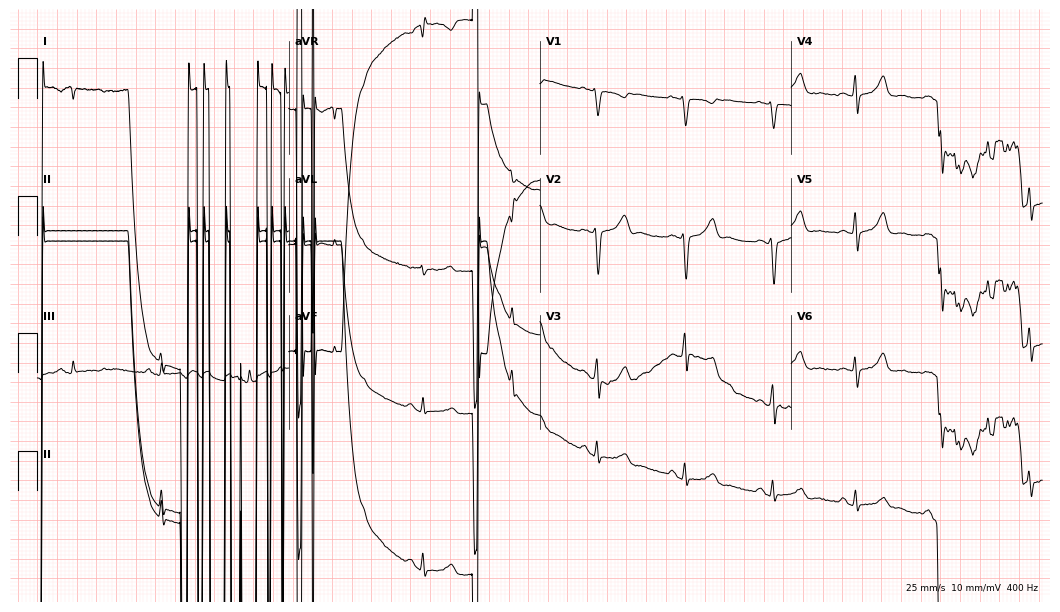
Electrocardiogram, a female patient, 30 years old. Of the six screened findings (first-degree AV block, right bundle branch block, left bundle branch block, sinus bradycardia, atrial fibrillation, sinus tachycardia), none is recorded.